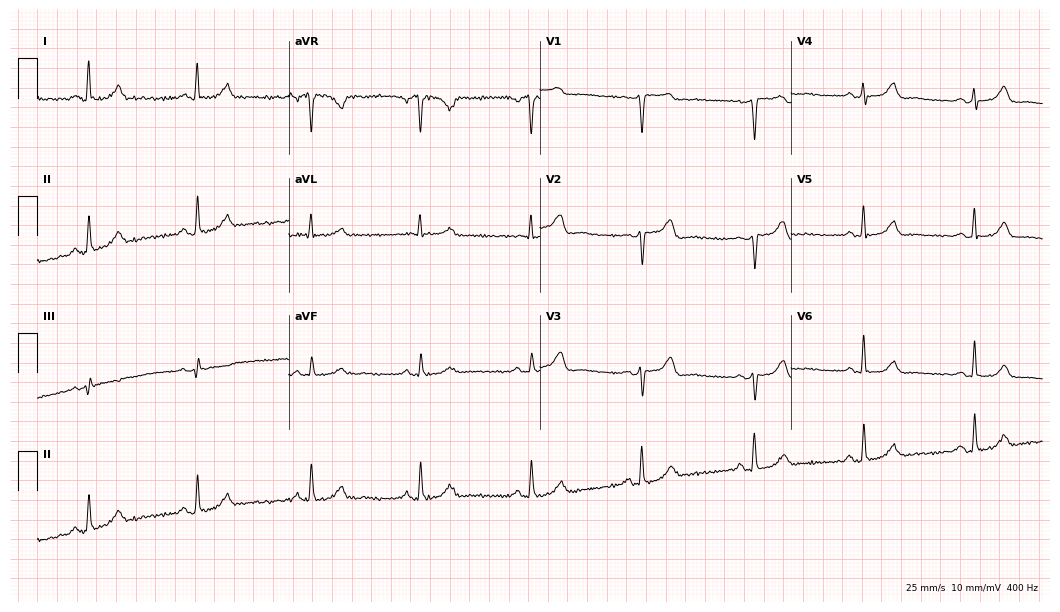
Standard 12-lead ECG recorded from a man, 51 years old. Read as a normal ECG.